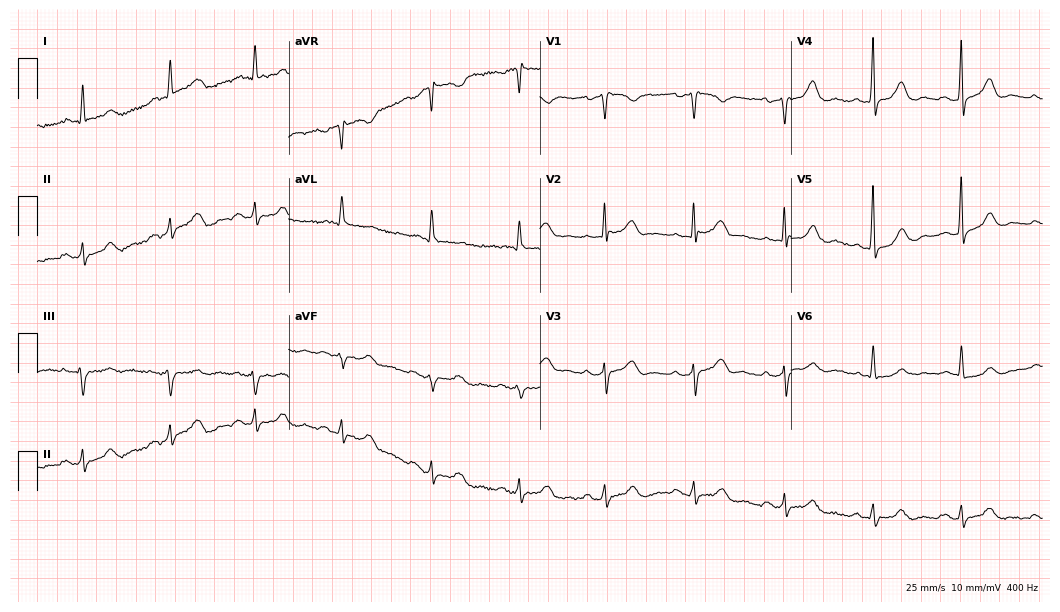
ECG (10.2-second recording at 400 Hz) — a man, 73 years old. Labelled as a normal ECG.